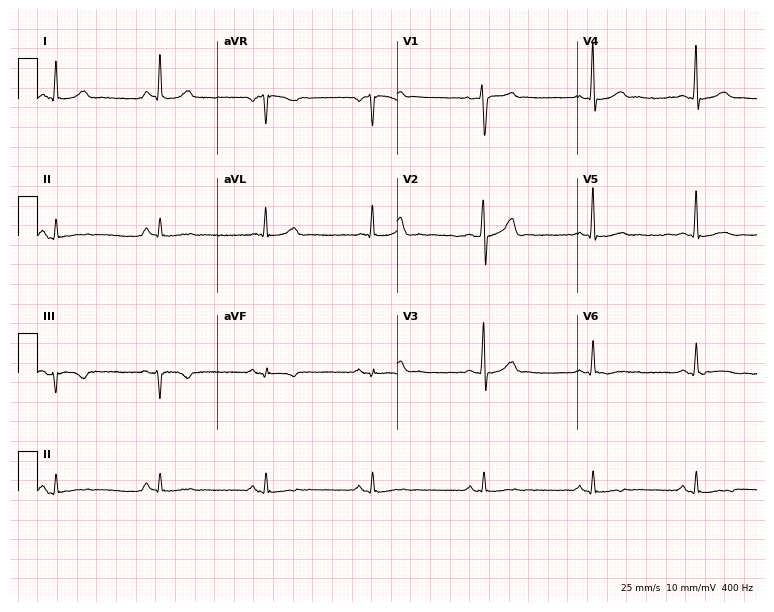
Electrocardiogram, a male patient, 52 years old. Of the six screened findings (first-degree AV block, right bundle branch block, left bundle branch block, sinus bradycardia, atrial fibrillation, sinus tachycardia), none is recorded.